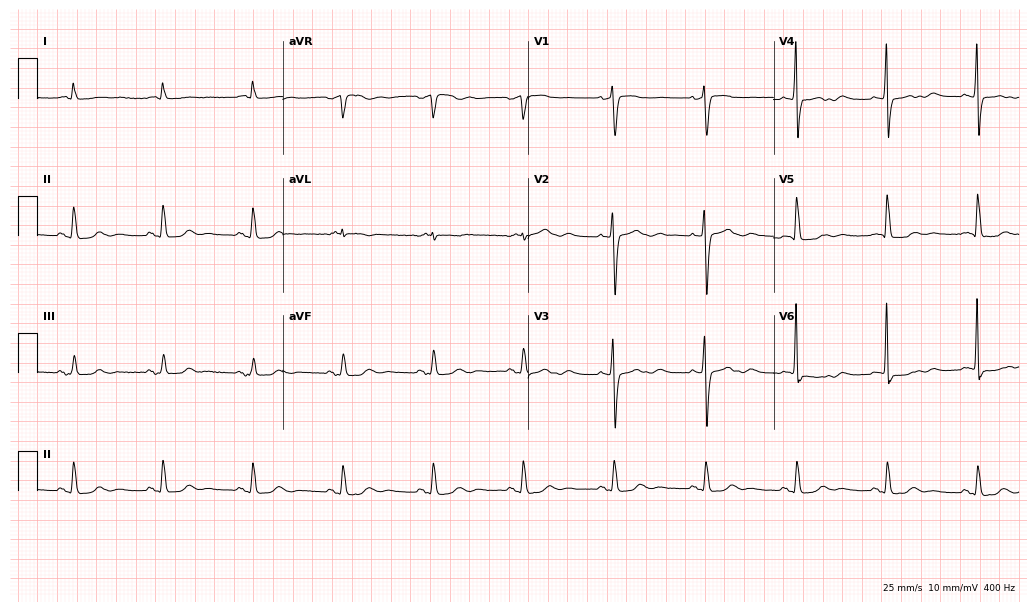
Resting 12-lead electrocardiogram. Patient: a man, 63 years old. None of these six findings is recorded: first-degree AV block, right bundle branch block, left bundle branch block, sinus bradycardia, atrial fibrillation, sinus tachycardia.